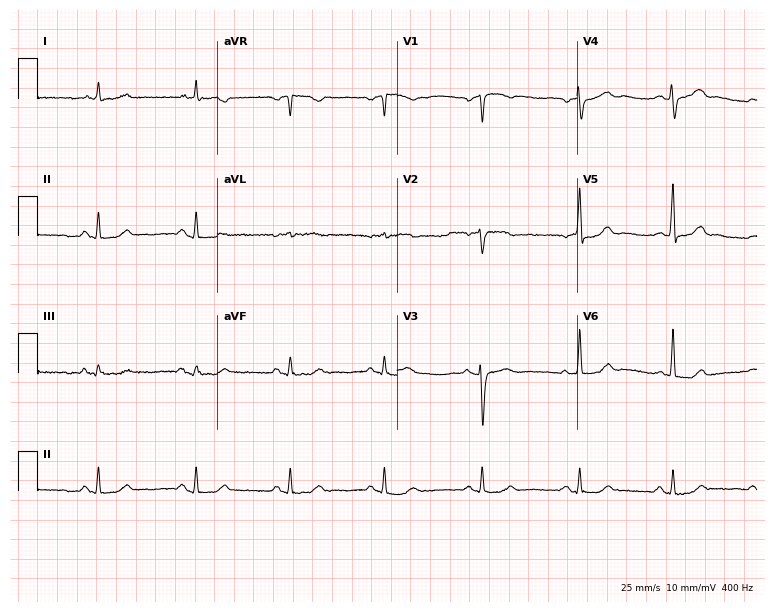
Standard 12-lead ECG recorded from a female patient, 57 years old. Read as a normal ECG.